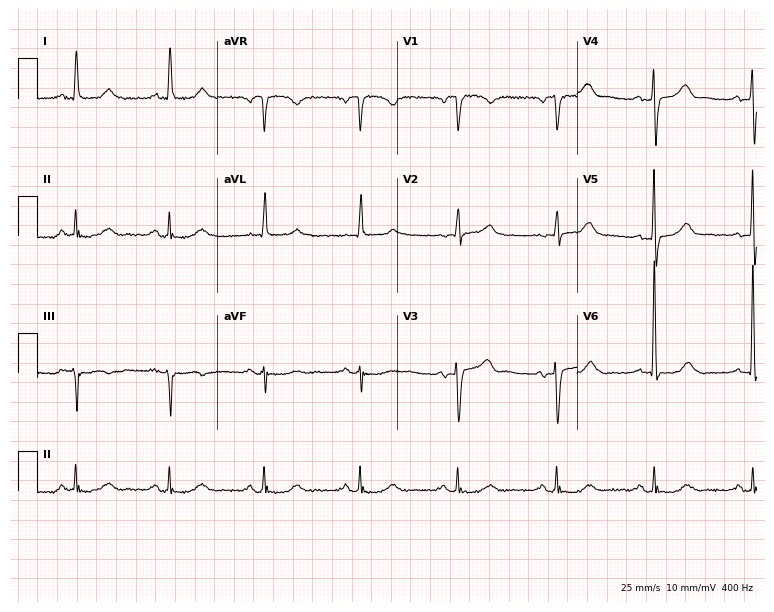
Resting 12-lead electrocardiogram (7.3-second recording at 400 Hz). Patient: a 74-year-old male. Read as a normal ECG.